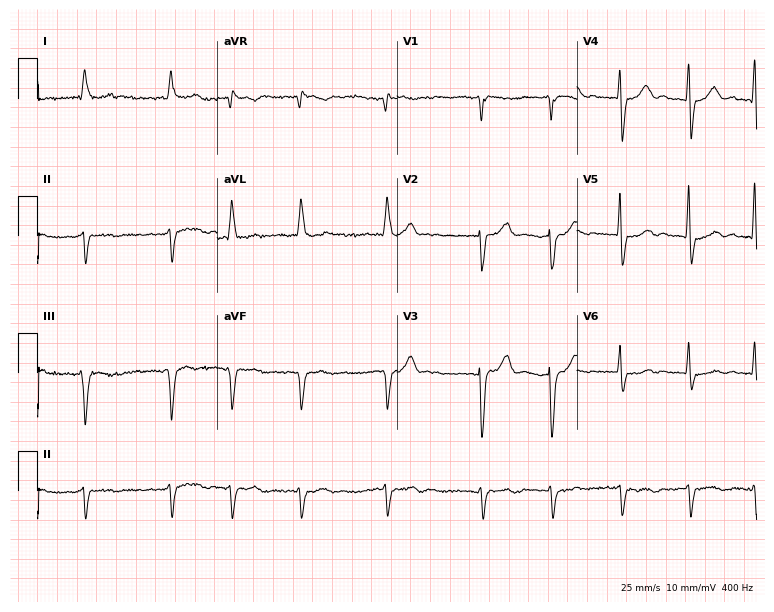
12-lead ECG from a male, 68 years old. Shows atrial fibrillation.